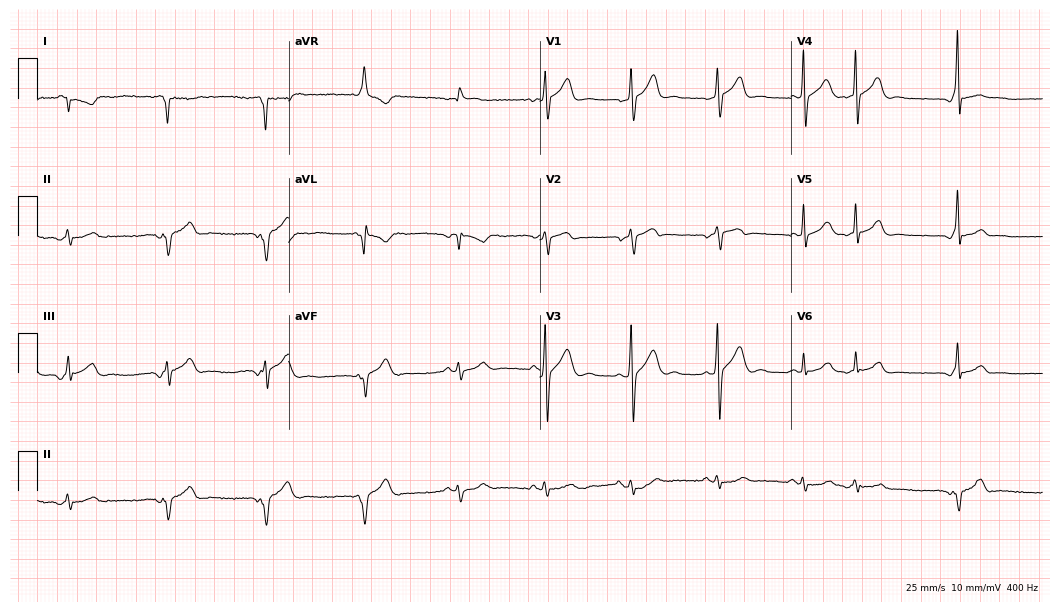
ECG (10.2-second recording at 400 Hz) — a 49-year-old man. Screened for six findings — first-degree AV block, right bundle branch block (RBBB), left bundle branch block (LBBB), sinus bradycardia, atrial fibrillation (AF), sinus tachycardia — none is recorded.